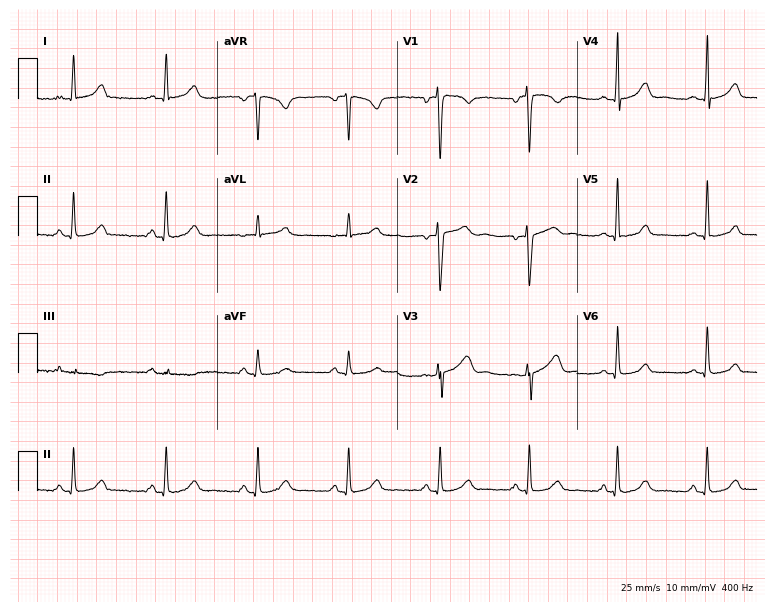
Standard 12-lead ECG recorded from a female, 48 years old. Read as a normal ECG.